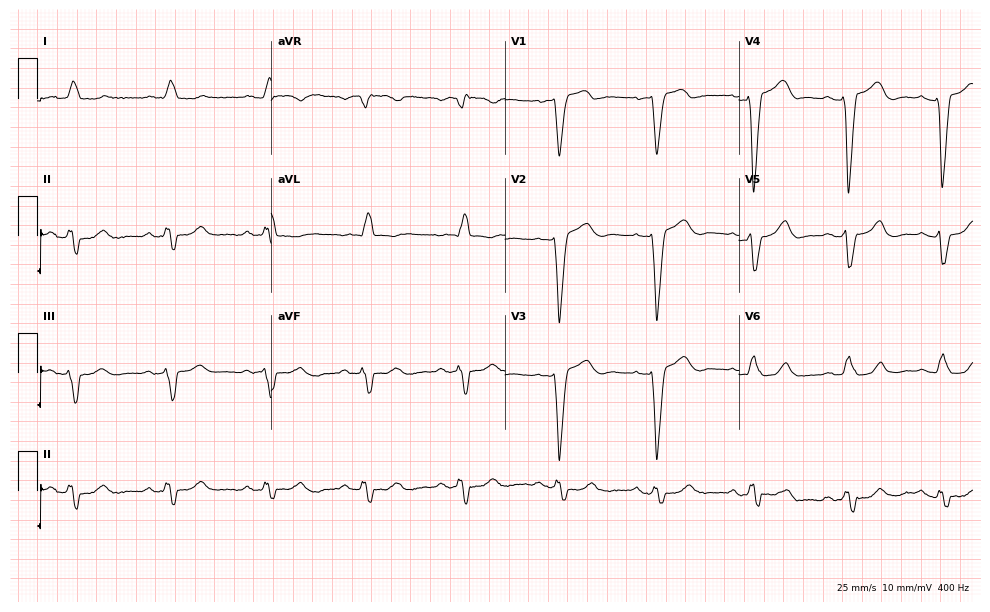
12-lead ECG from a man, 85 years old. Findings include first-degree AV block, left bundle branch block.